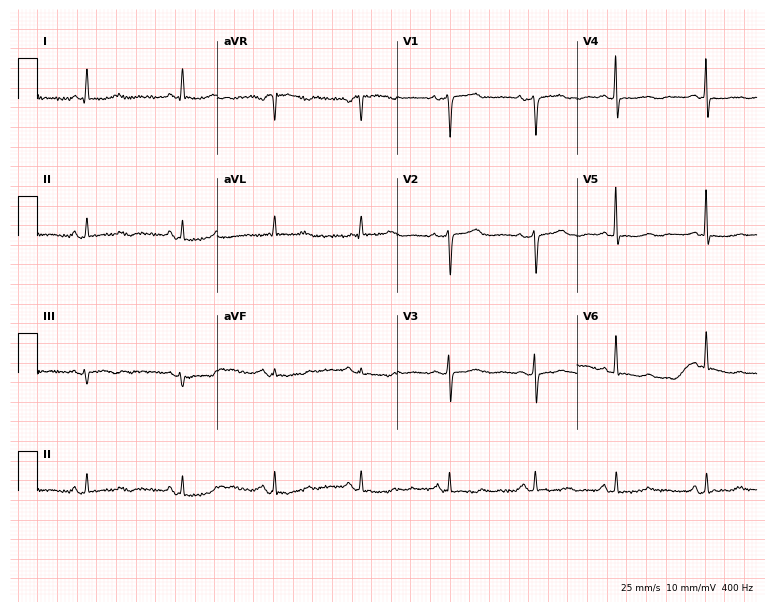
12-lead ECG from a 64-year-old female patient (7.3-second recording at 400 Hz). No first-degree AV block, right bundle branch block, left bundle branch block, sinus bradycardia, atrial fibrillation or sinus tachycardia recorded for this tracing.